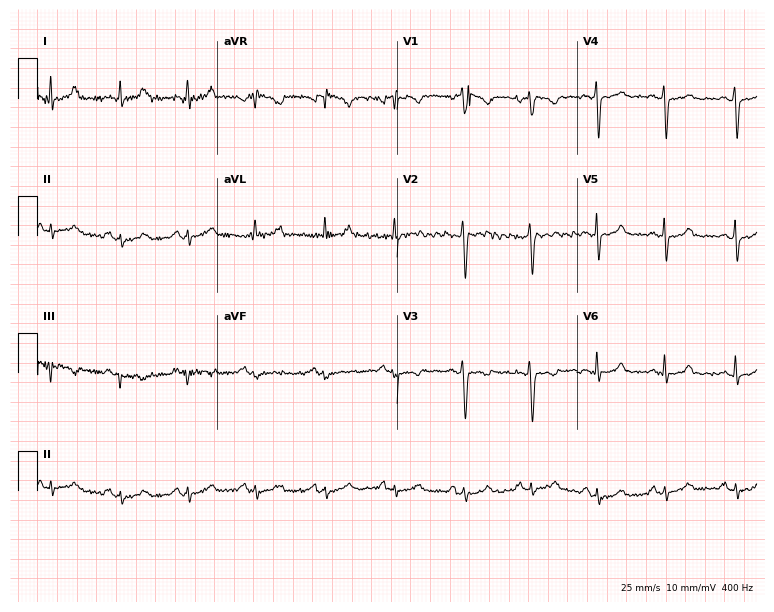
12-lead ECG (7.3-second recording at 400 Hz) from a female patient, 32 years old. Screened for six findings — first-degree AV block, right bundle branch block, left bundle branch block, sinus bradycardia, atrial fibrillation, sinus tachycardia — none is recorded. Findings outside these six are not listed.